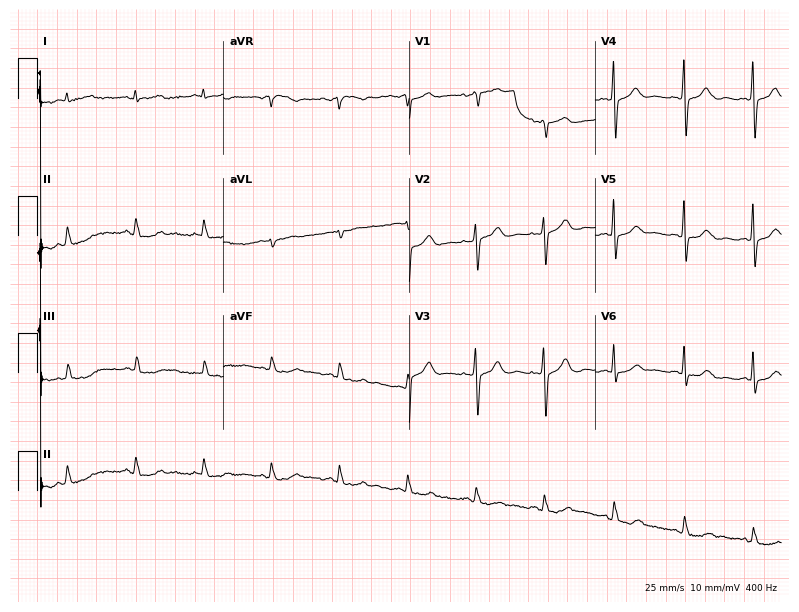
ECG (7.6-second recording at 400 Hz) — a 59-year-old woman. Screened for six findings — first-degree AV block, right bundle branch block (RBBB), left bundle branch block (LBBB), sinus bradycardia, atrial fibrillation (AF), sinus tachycardia — none is recorded.